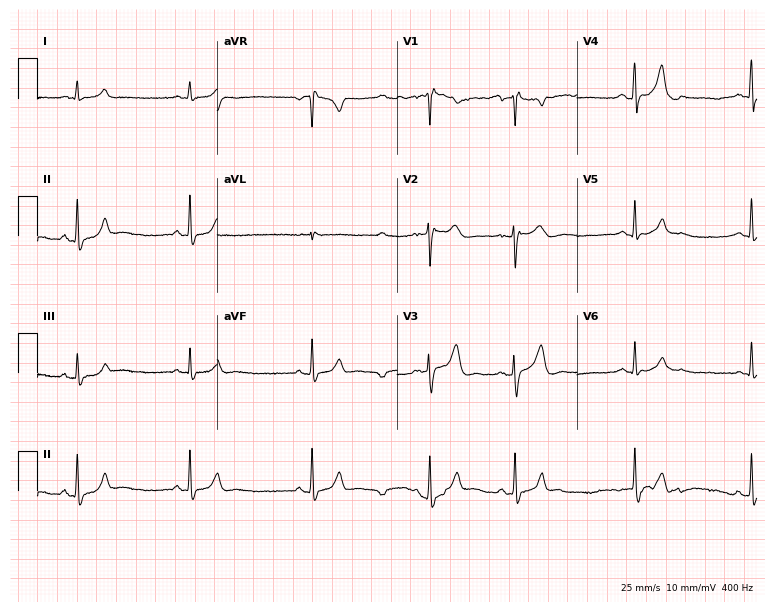
Electrocardiogram (7.3-second recording at 400 Hz), a 29-year-old male. Overall reading on record: normal ECG.